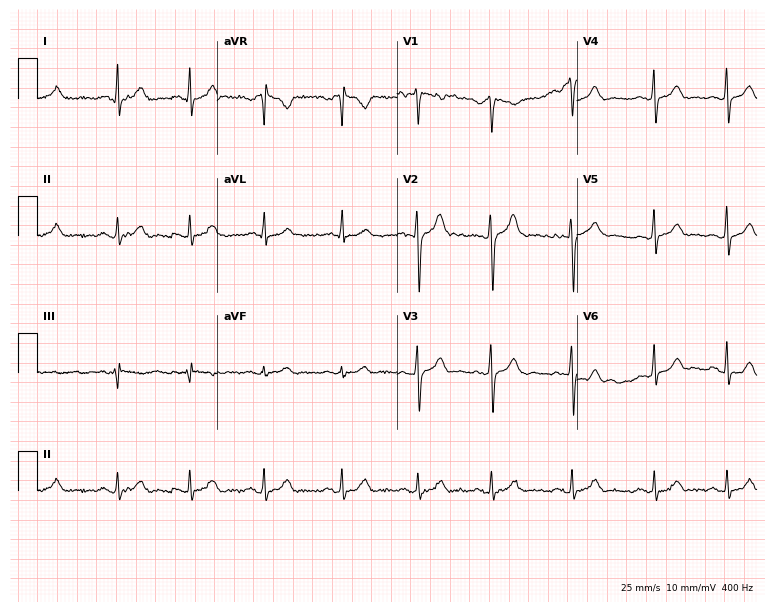
12-lead ECG from a 35-year-old man. Recorded interpretation: within normal limits.